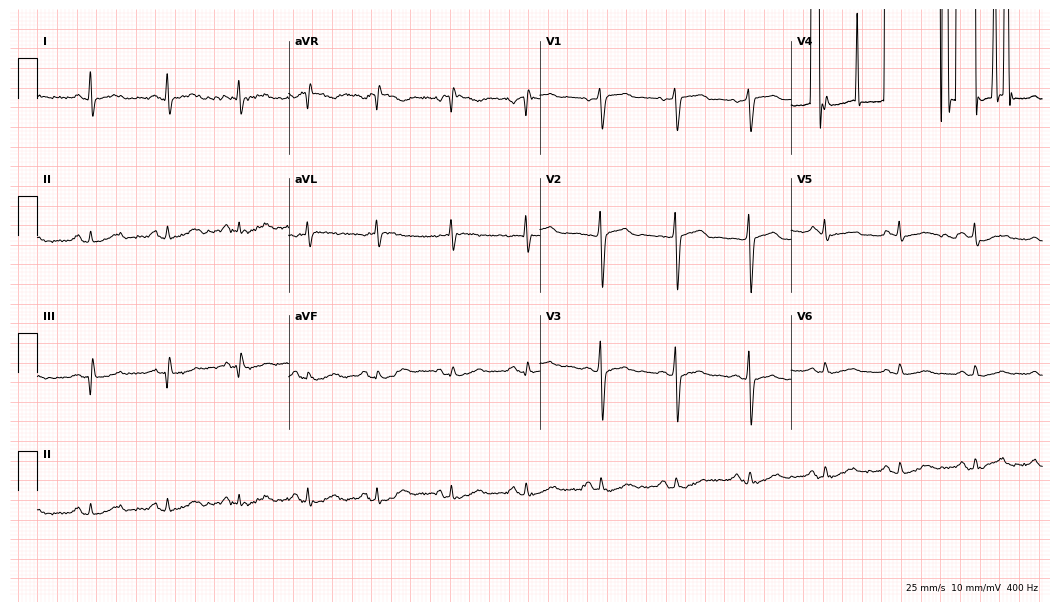
Electrocardiogram, a female patient, 57 years old. Of the six screened findings (first-degree AV block, right bundle branch block, left bundle branch block, sinus bradycardia, atrial fibrillation, sinus tachycardia), none is recorded. Only these six findings were labelled.